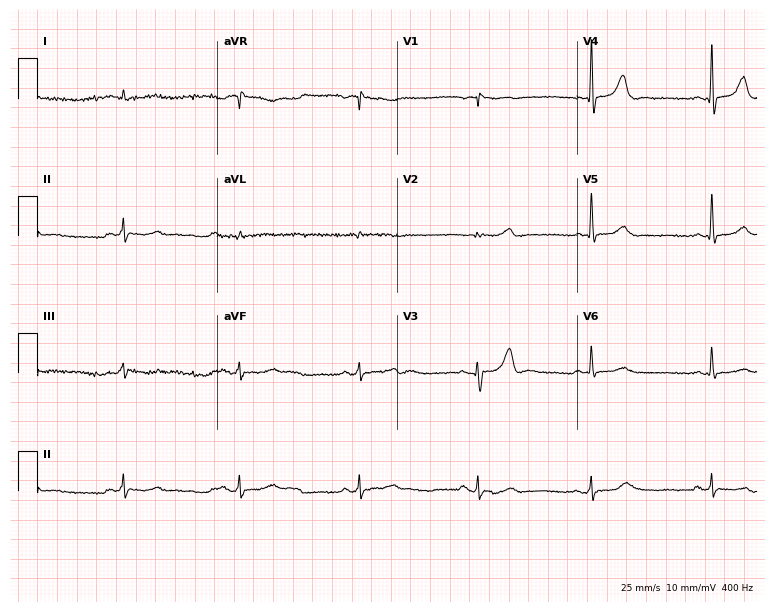
Resting 12-lead electrocardiogram (7.3-second recording at 400 Hz). Patient: a male, 85 years old. None of these six findings is recorded: first-degree AV block, right bundle branch block, left bundle branch block, sinus bradycardia, atrial fibrillation, sinus tachycardia. Only these six findings were labelled.